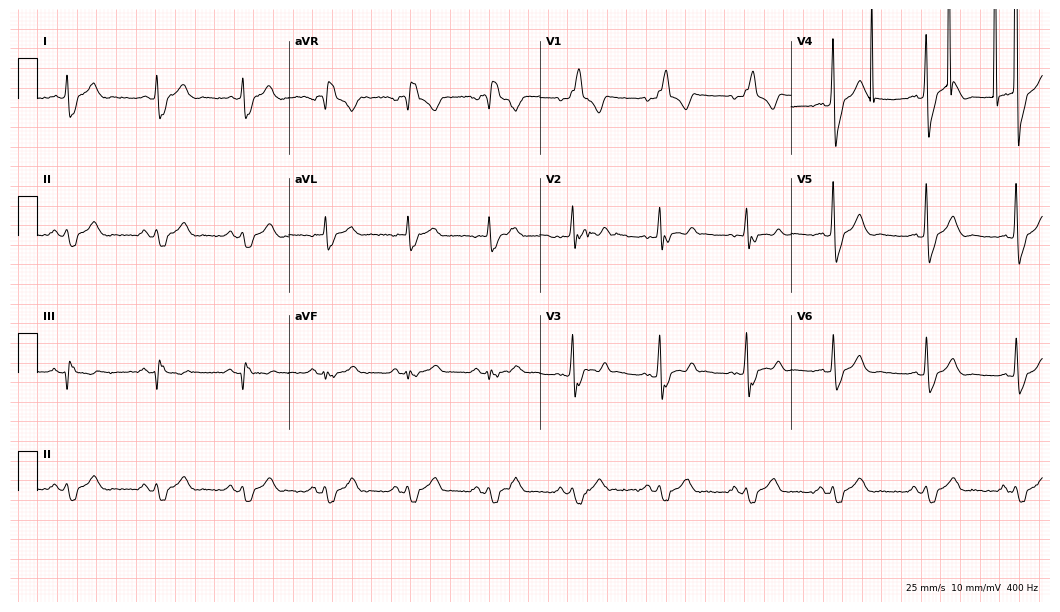
Standard 12-lead ECG recorded from a 69-year-old male (10.2-second recording at 400 Hz). The tracing shows right bundle branch block, atrial fibrillation.